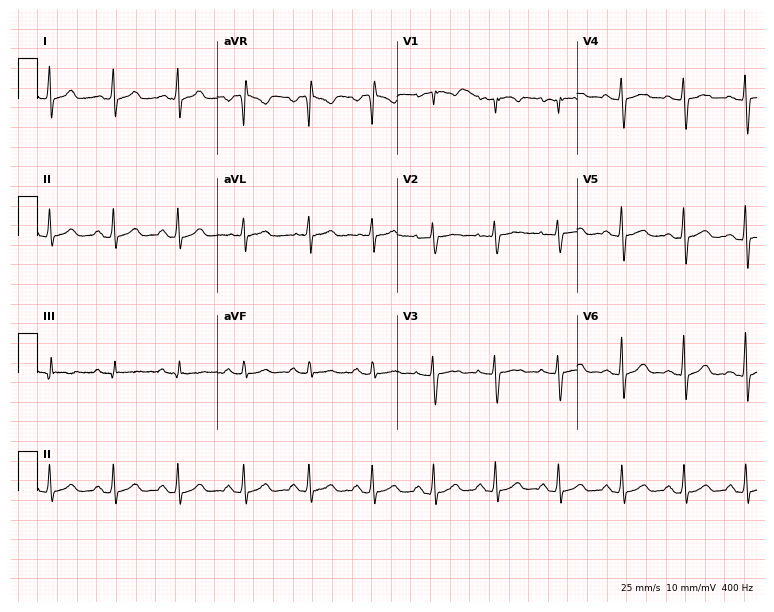
ECG — a 29-year-old female. Labelled as a normal ECG.